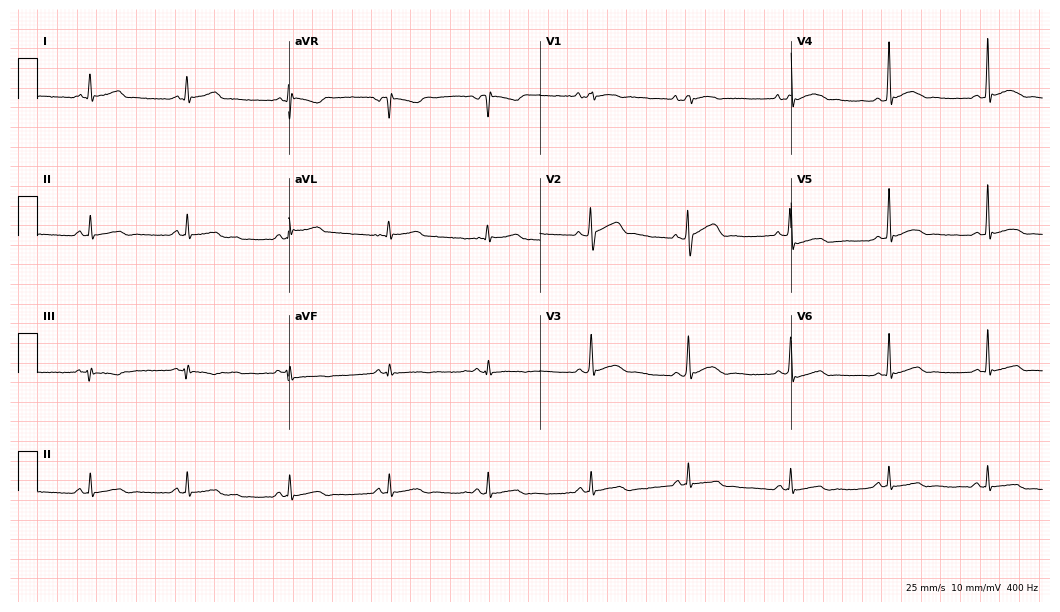
12-lead ECG (10.2-second recording at 400 Hz) from a male patient, 21 years old. Screened for six findings — first-degree AV block, right bundle branch block, left bundle branch block, sinus bradycardia, atrial fibrillation, sinus tachycardia — none is recorded.